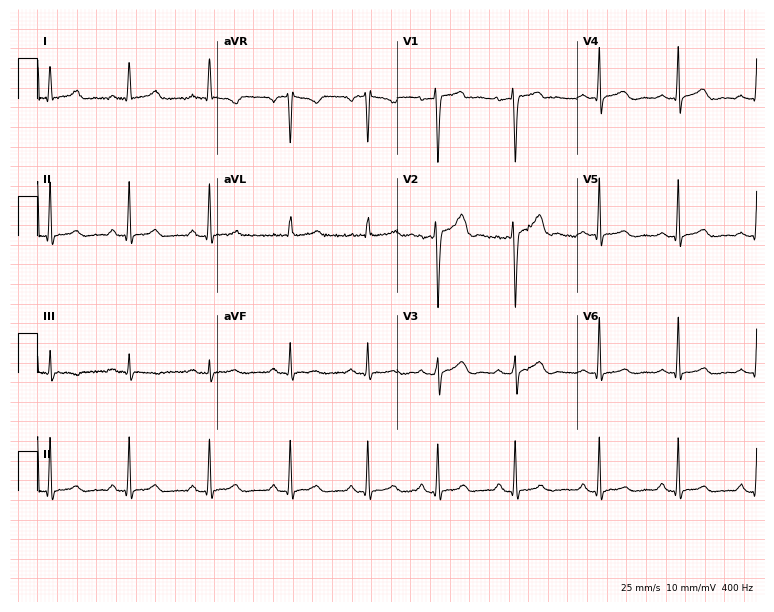
Resting 12-lead electrocardiogram (7.3-second recording at 400 Hz). Patient: a 33-year-old female. None of these six findings is recorded: first-degree AV block, right bundle branch block, left bundle branch block, sinus bradycardia, atrial fibrillation, sinus tachycardia.